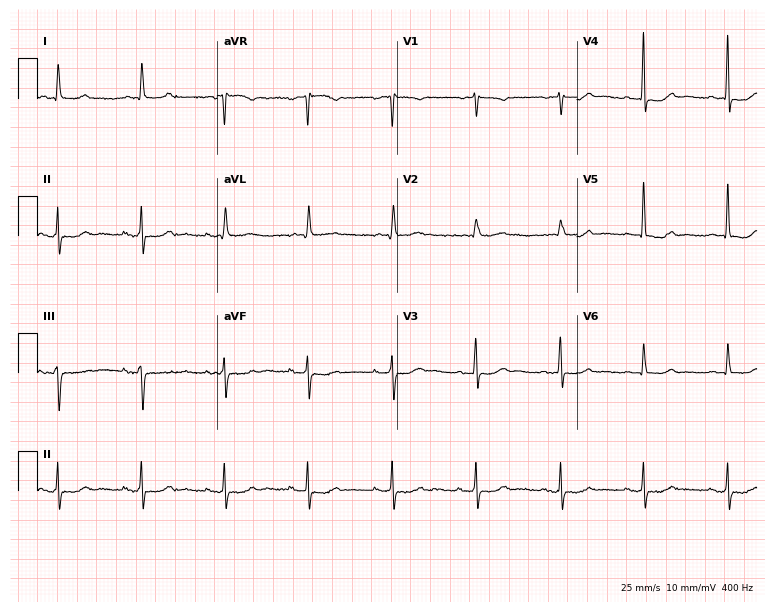
12-lead ECG (7.3-second recording at 400 Hz) from a 70-year-old woman. Screened for six findings — first-degree AV block, right bundle branch block, left bundle branch block, sinus bradycardia, atrial fibrillation, sinus tachycardia — none is recorded. Only these six findings were labelled.